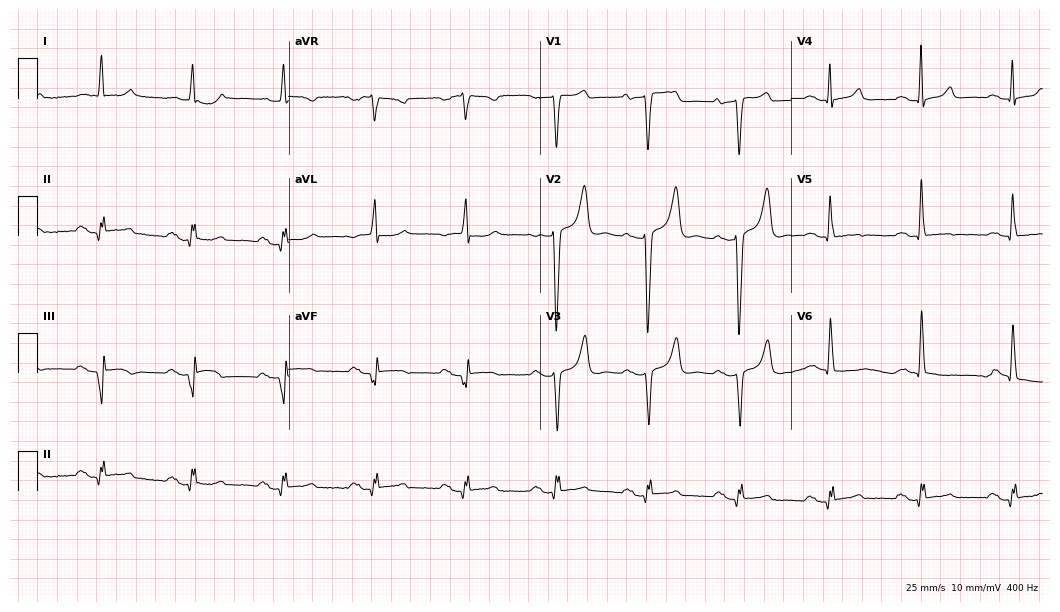
ECG — a male, 61 years old. Screened for six findings — first-degree AV block, right bundle branch block, left bundle branch block, sinus bradycardia, atrial fibrillation, sinus tachycardia — none is recorded.